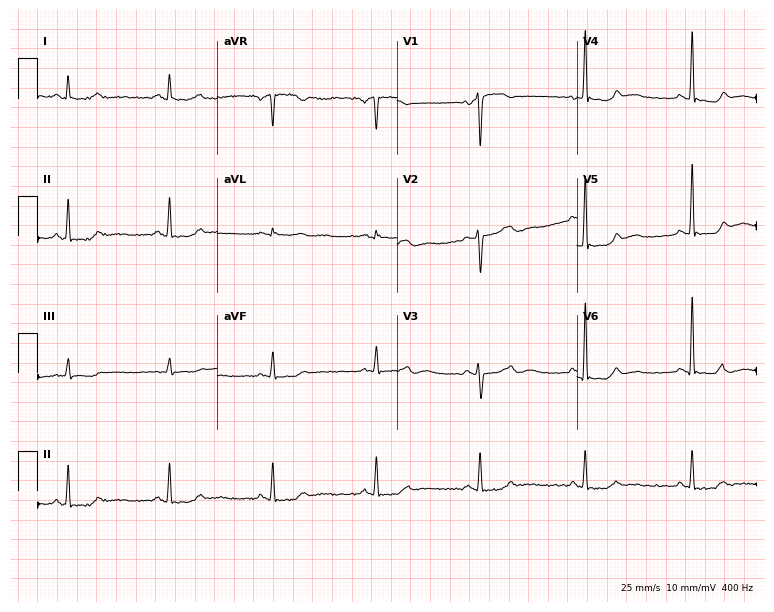
ECG — a female patient, 46 years old. Screened for six findings — first-degree AV block, right bundle branch block, left bundle branch block, sinus bradycardia, atrial fibrillation, sinus tachycardia — none is recorded.